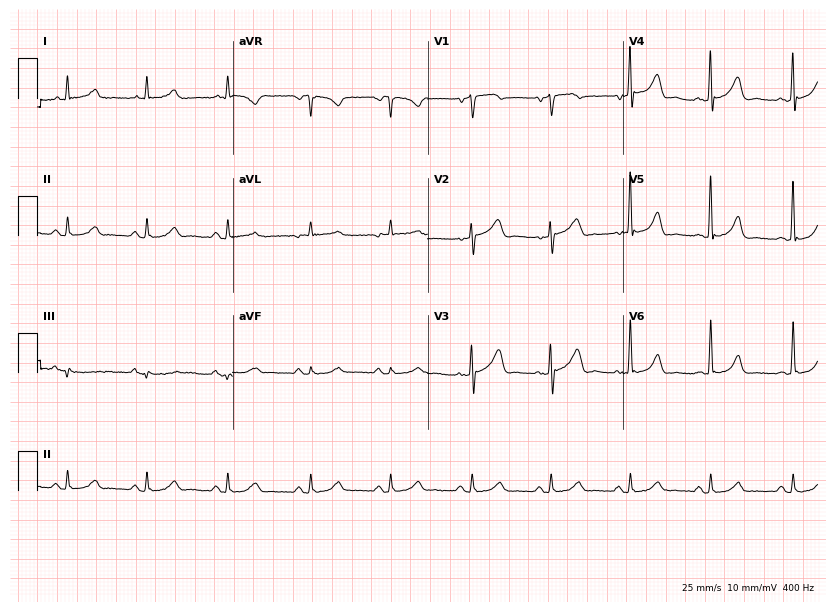
Resting 12-lead electrocardiogram. Patient: a 79-year-old male. Read as a normal ECG.